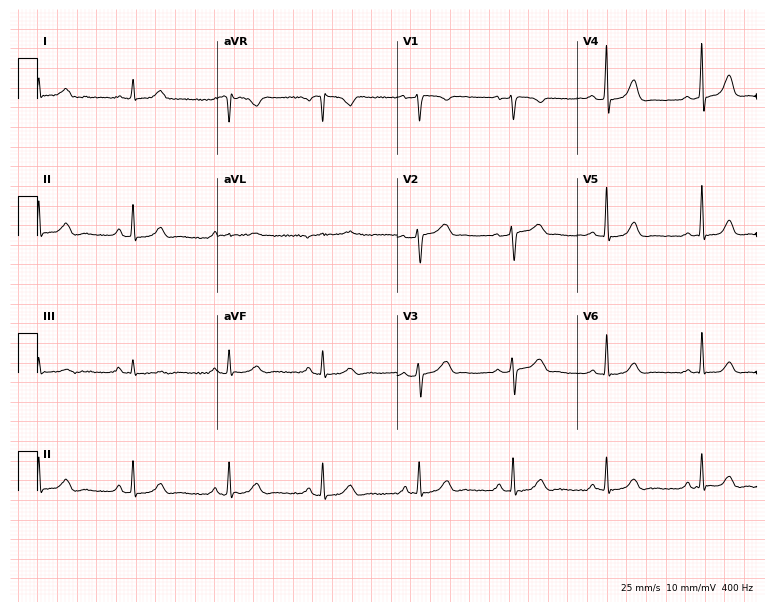
Electrocardiogram, a female patient, 46 years old. Of the six screened findings (first-degree AV block, right bundle branch block, left bundle branch block, sinus bradycardia, atrial fibrillation, sinus tachycardia), none is recorded. Only these six findings were labelled.